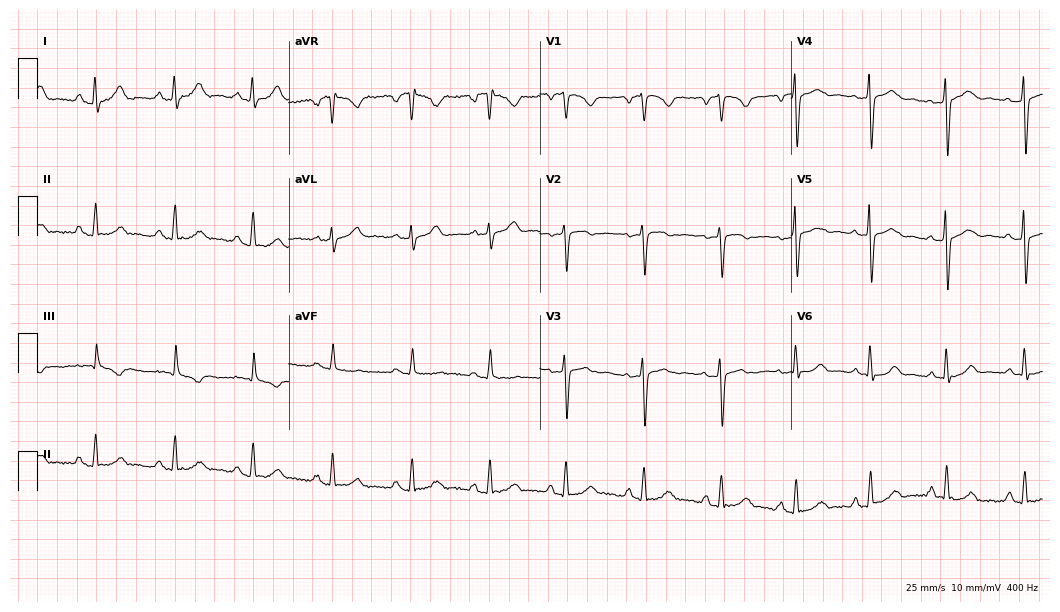
12-lead ECG from a 36-year-old woman. Screened for six findings — first-degree AV block, right bundle branch block, left bundle branch block, sinus bradycardia, atrial fibrillation, sinus tachycardia — none is recorded. Other findings, if any, are not listed.